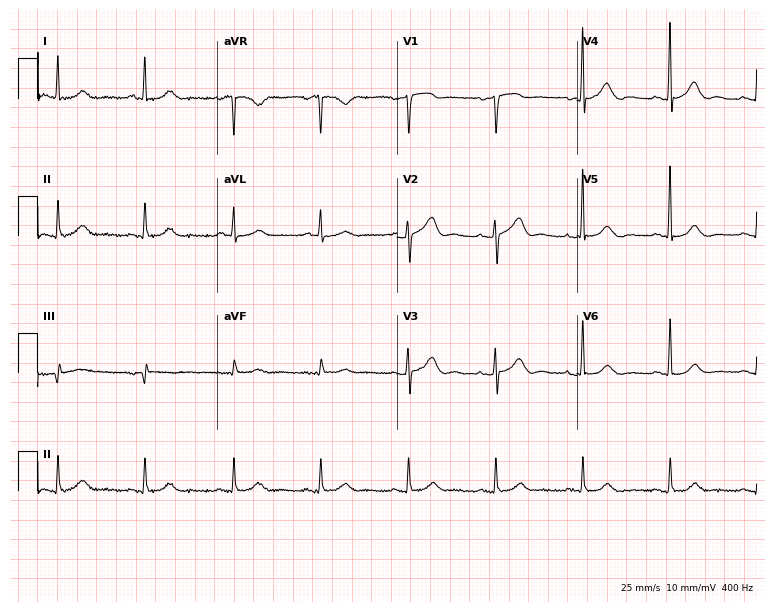
Standard 12-lead ECG recorded from a 78-year-old female (7.3-second recording at 400 Hz). Read as a normal ECG.